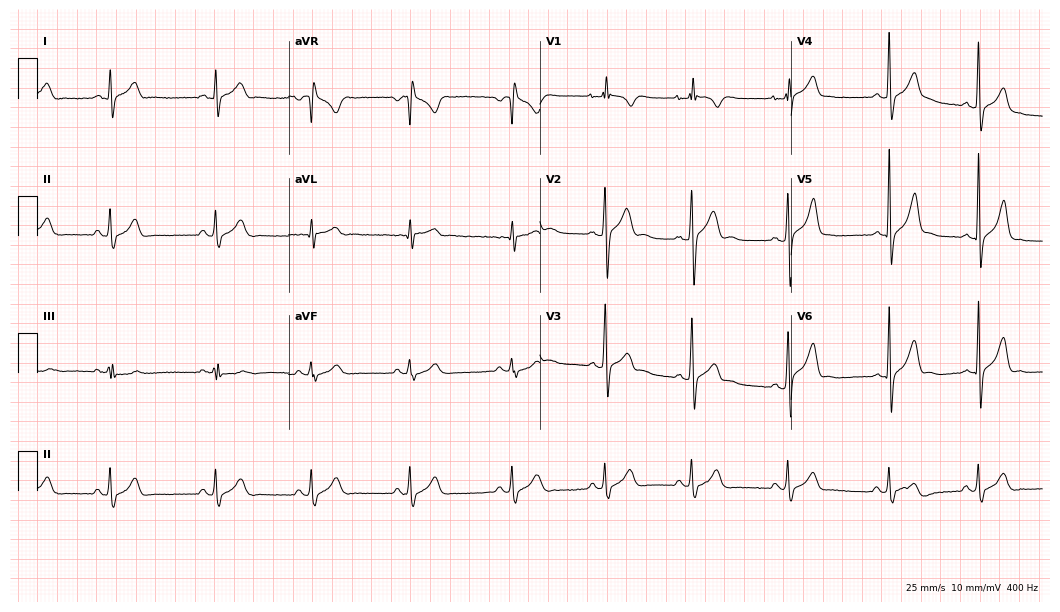
12-lead ECG from a male patient, 19 years old. No first-degree AV block, right bundle branch block (RBBB), left bundle branch block (LBBB), sinus bradycardia, atrial fibrillation (AF) or sinus tachycardia recorded for this tracing. Other findings, if any, are not listed.